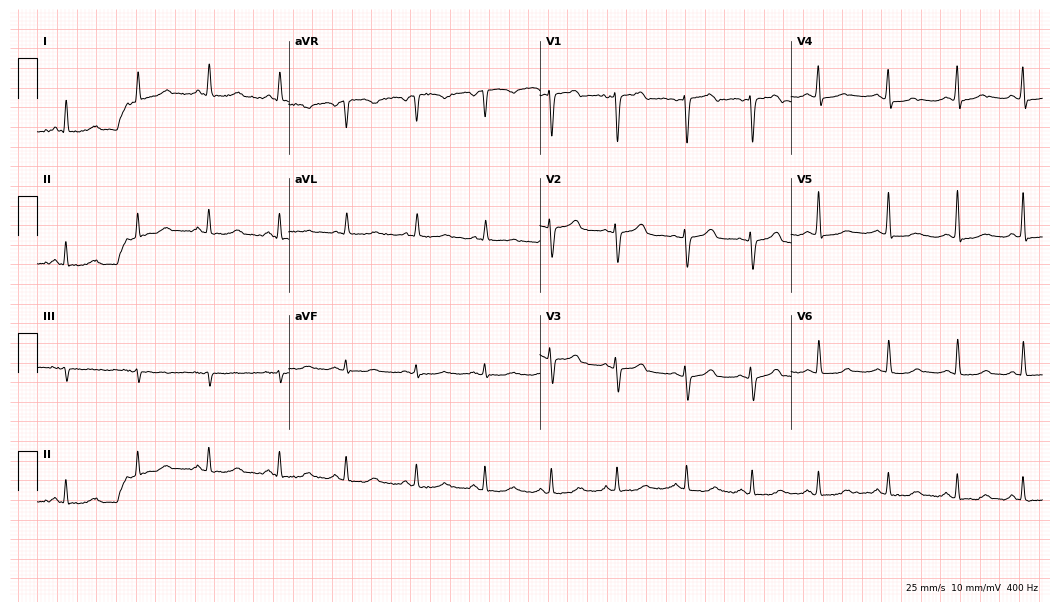
Electrocardiogram, a 76-year-old female patient. Of the six screened findings (first-degree AV block, right bundle branch block, left bundle branch block, sinus bradycardia, atrial fibrillation, sinus tachycardia), none is recorded.